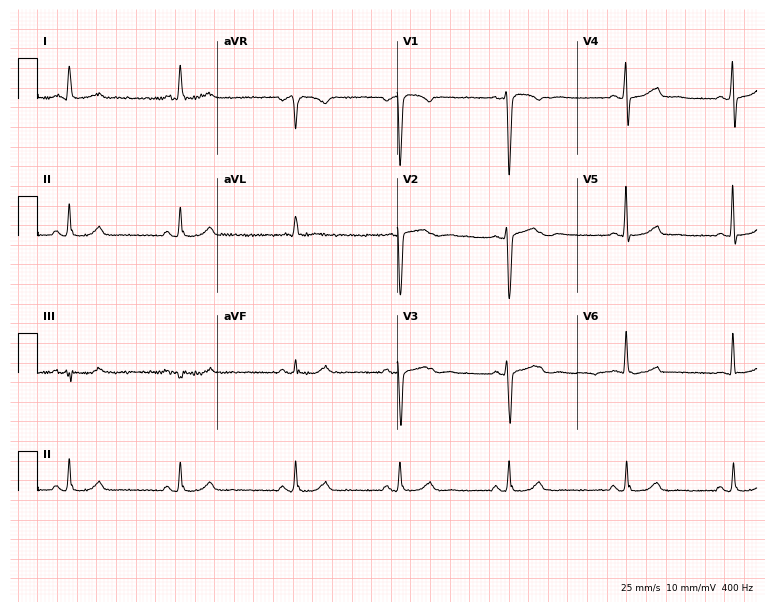
Standard 12-lead ECG recorded from a 70-year-old female patient. Read as a normal ECG.